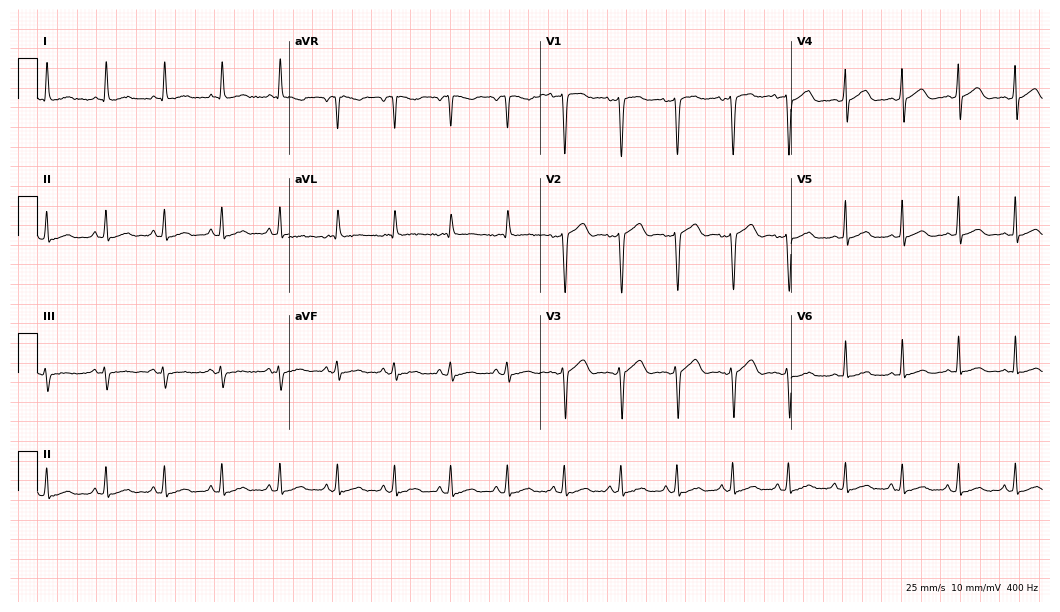
Resting 12-lead electrocardiogram (10.2-second recording at 400 Hz). Patient: a woman, 45 years old. None of these six findings is recorded: first-degree AV block, right bundle branch block, left bundle branch block, sinus bradycardia, atrial fibrillation, sinus tachycardia.